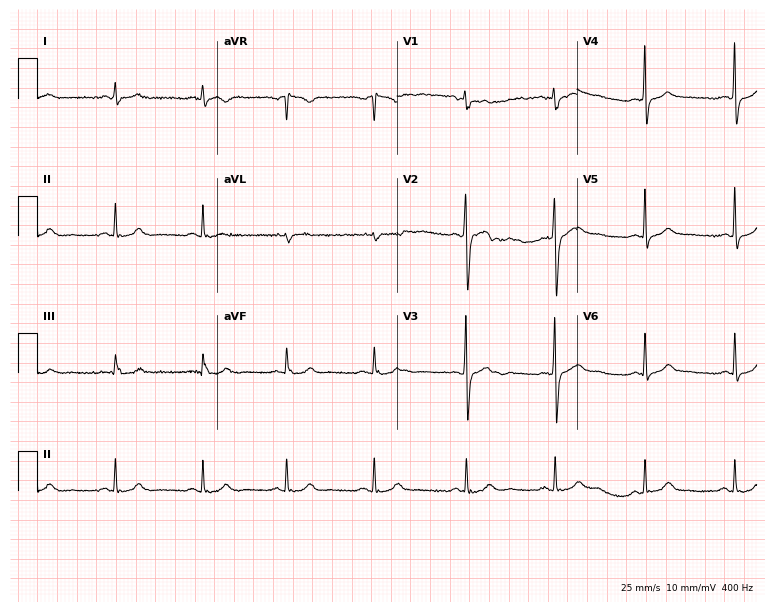
12-lead ECG from a man, 48 years old (7.3-second recording at 400 Hz). Recorded interpretation: within normal limits.